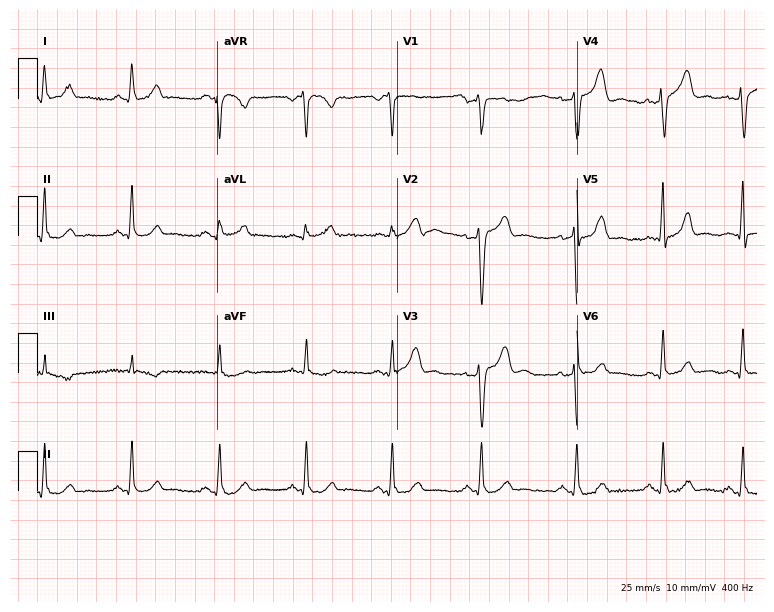
Electrocardiogram (7.3-second recording at 400 Hz), a female, 45 years old. Of the six screened findings (first-degree AV block, right bundle branch block, left bundle branch block, sinus bradycardia, atrial fibrillation, sinus tachycardia), none is recorded. Other findings, if any, are not listed.